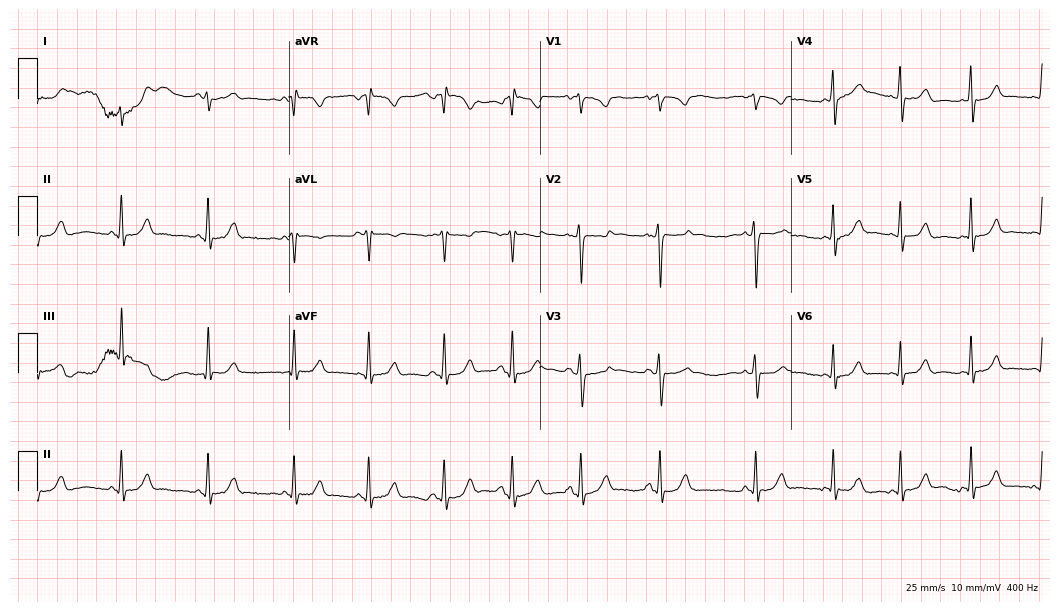
Resting 12-lead electrocardiogram. Patient: a female, 18 years old. Read as a normal ECG.